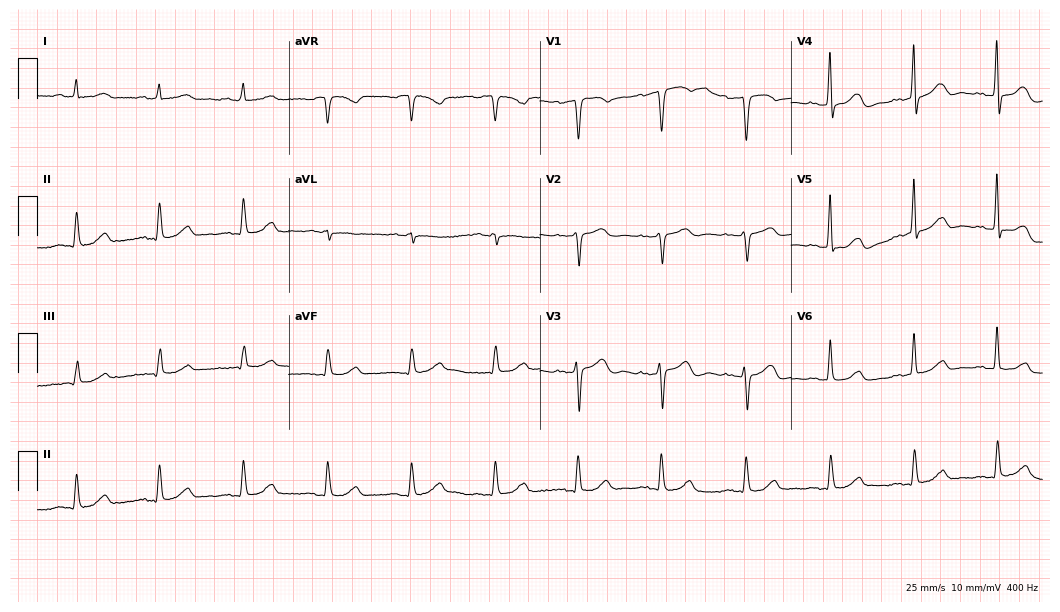
12-lead ECG from an 82-year-old woman (10.2-second recording at 400 Hz). Recorded interpretation: within normal limits.